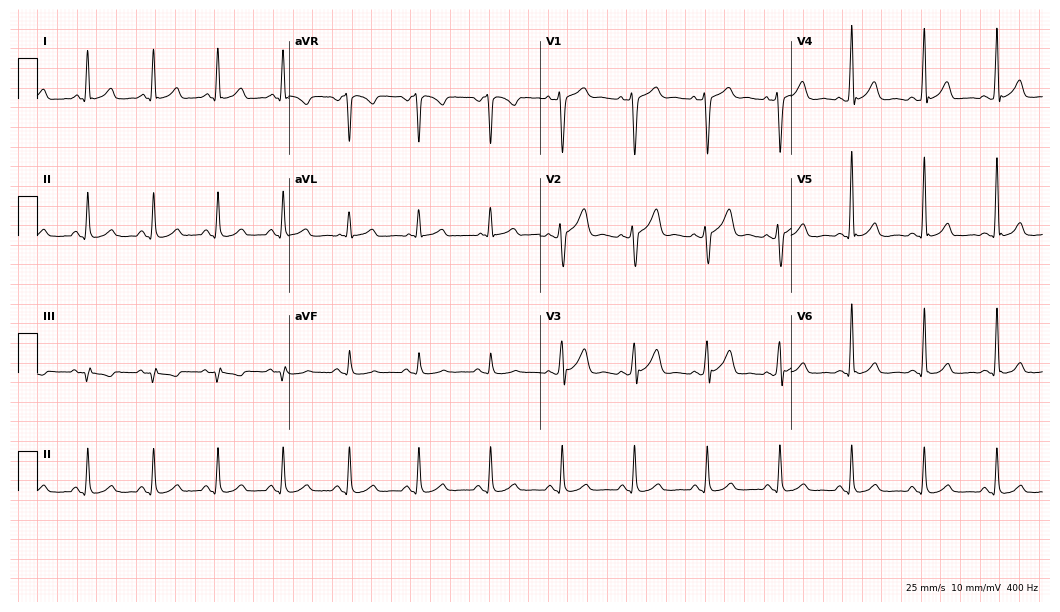
Resting 12-lead electrocardiogram (10.2-second recording at 400 Hz). Patient: a 33-year-old male. Read as a normal ECG.